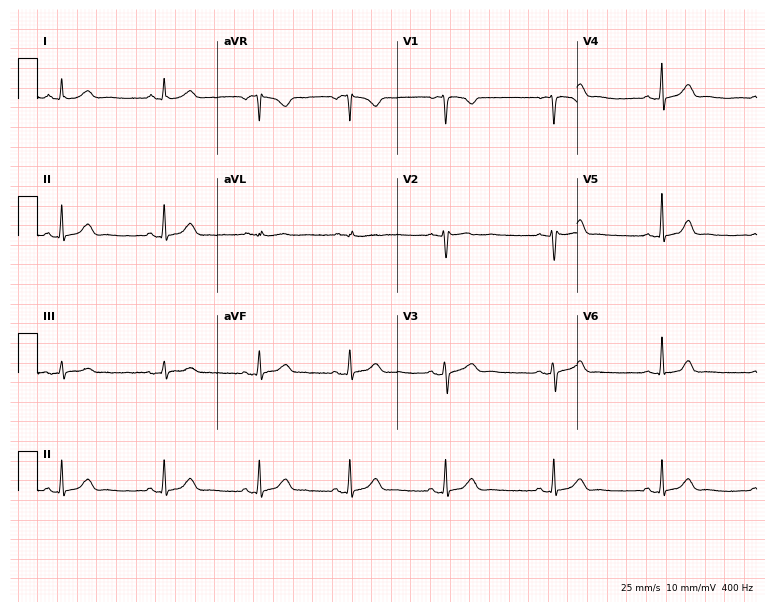
Standard 12-lead ECG recorded from a 24-year-old female (7.3-second recording at 400 Hz). Read as a normal ECG.